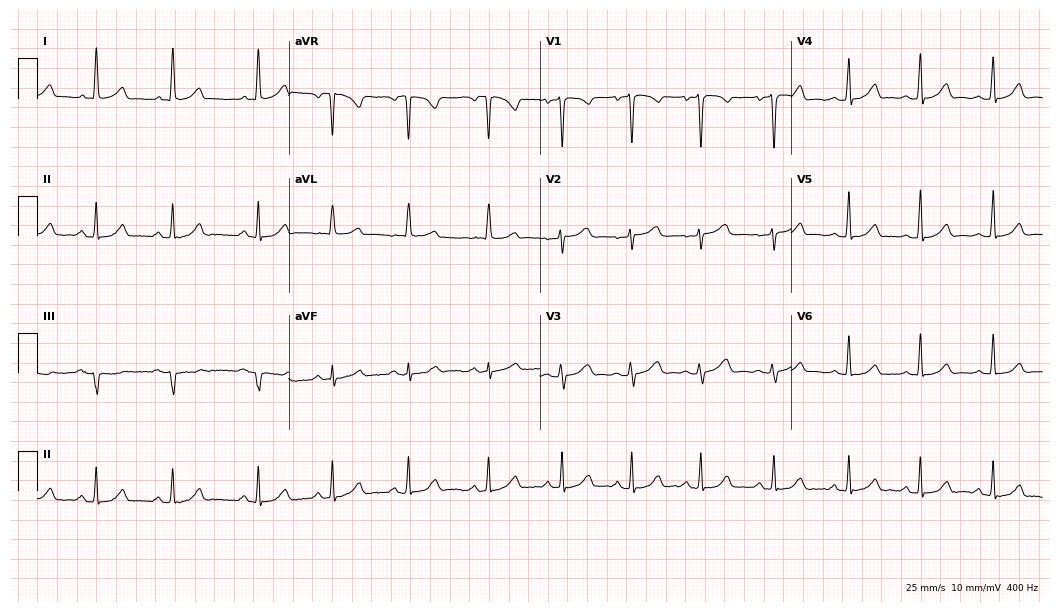
ECG — a 36-year-old female patient. Labelled as a normal ECG.